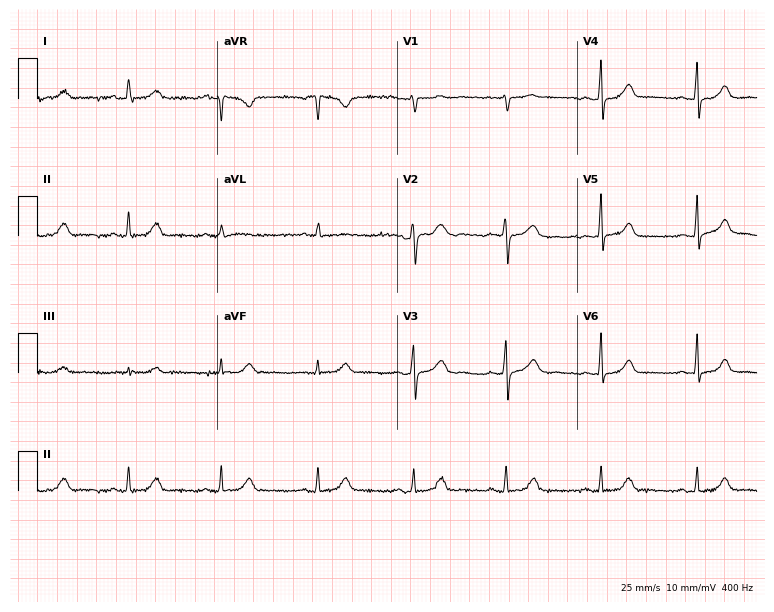
ECG — a female, 47 years old. Labelled as a normal ECG.